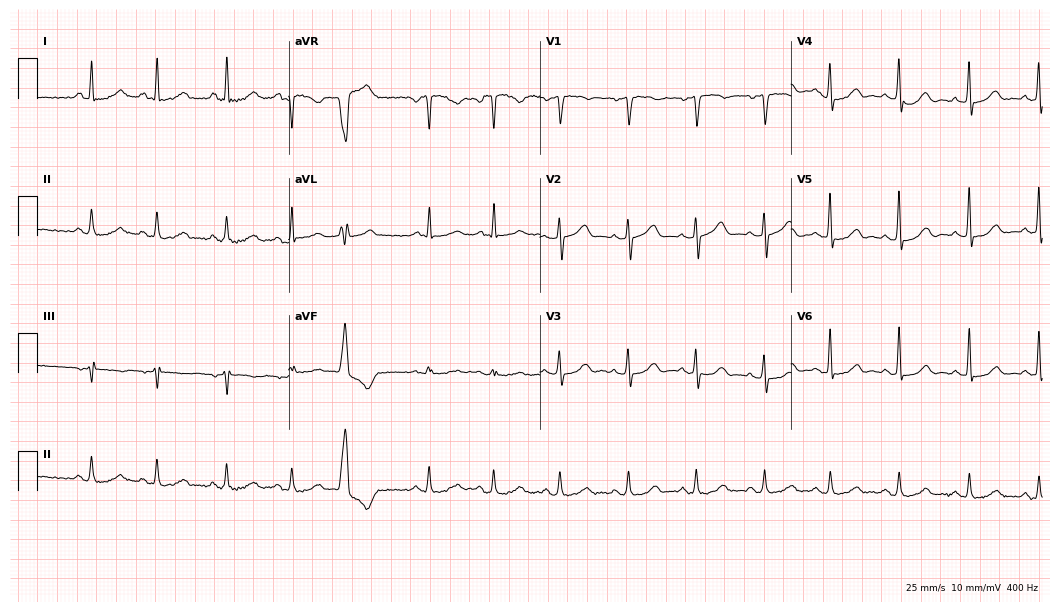
ECG (10.2-second recording at 400 Hz) — a 67-year-old man. Screened for six findings — first-degree AV block, right bundle branch block, left bundle branch block, sinus bradycardia, atrial fibrillation, sinus tachycardia — none is recorded.